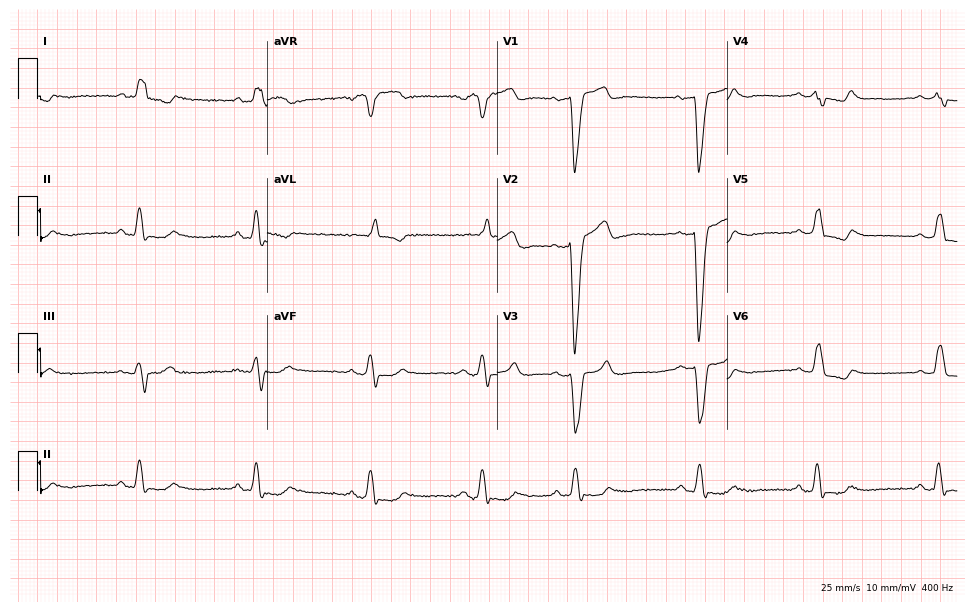
Standard 12-lead ECG recorded from a male, 81 years old. The tracing shows left bundle branch block.